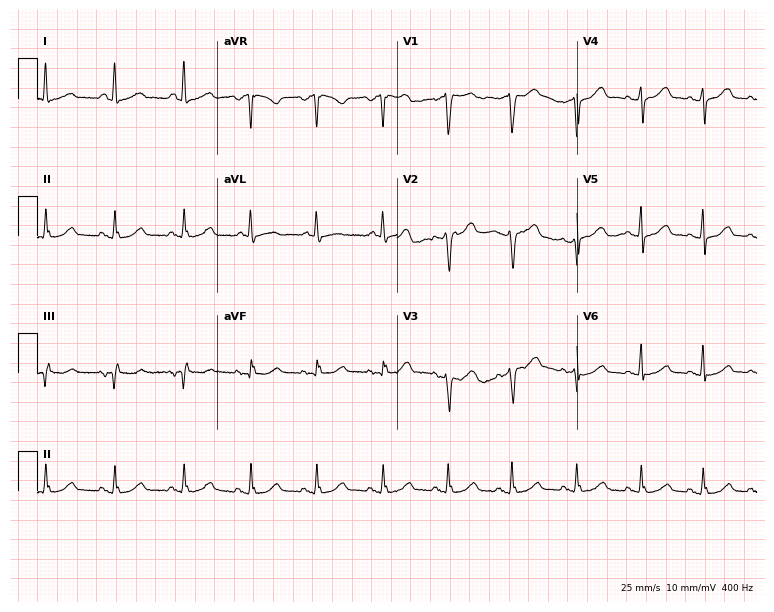
12-lead ECG from a woman, 63 years old. Labelled as a normal ECG.